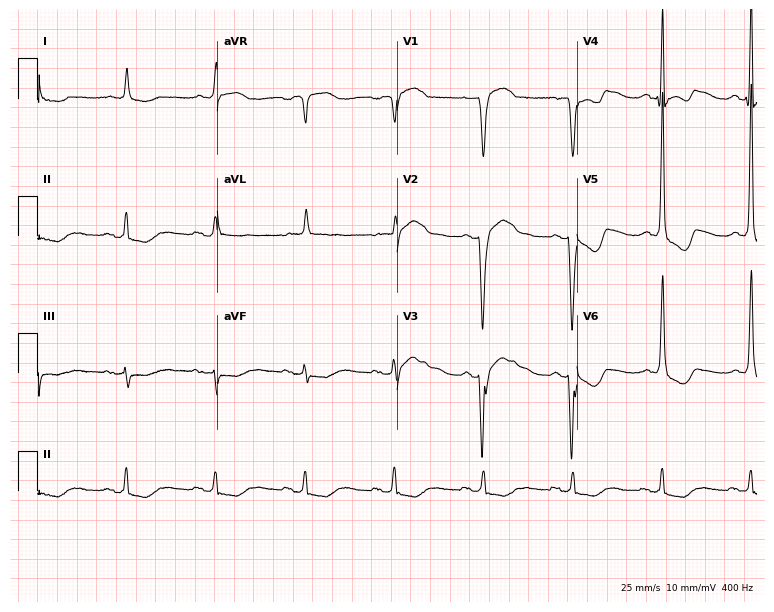
Standard 12-lead ECG recorded from a male patient, 72 years old. None of these six findings is recorded: first-degree AV block, right bundle branch block (RBBB), left bundle branch block (LBBB), sinus bradycardia, atrial fibrillation (AF), sinus tachycardia.